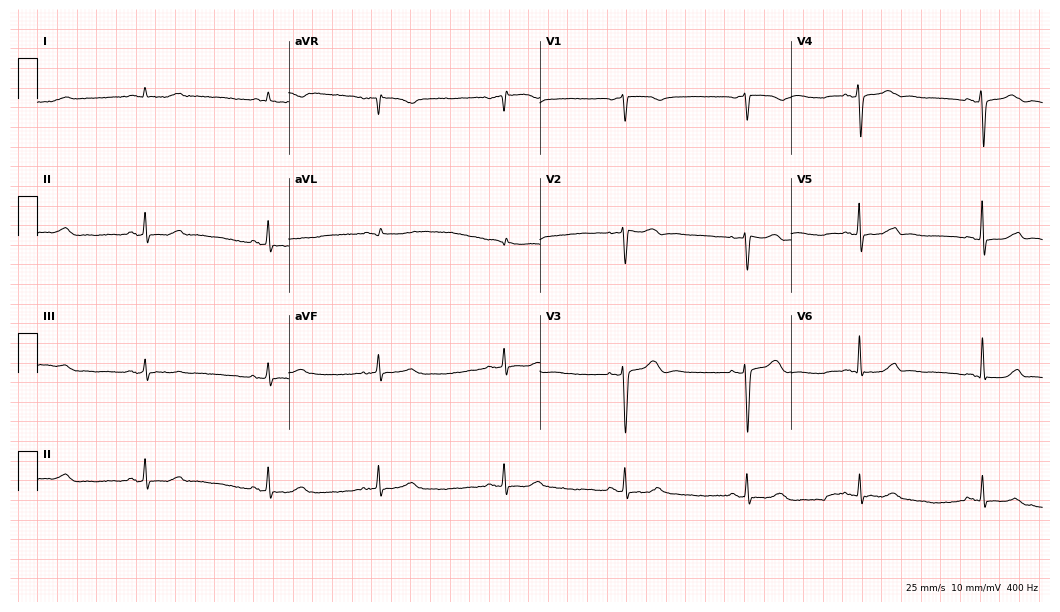
Electrocardiogram, an 82-year-old female. Interpretation includes sinus bradycardia (a sinus rate of 50 beats per minute or less).